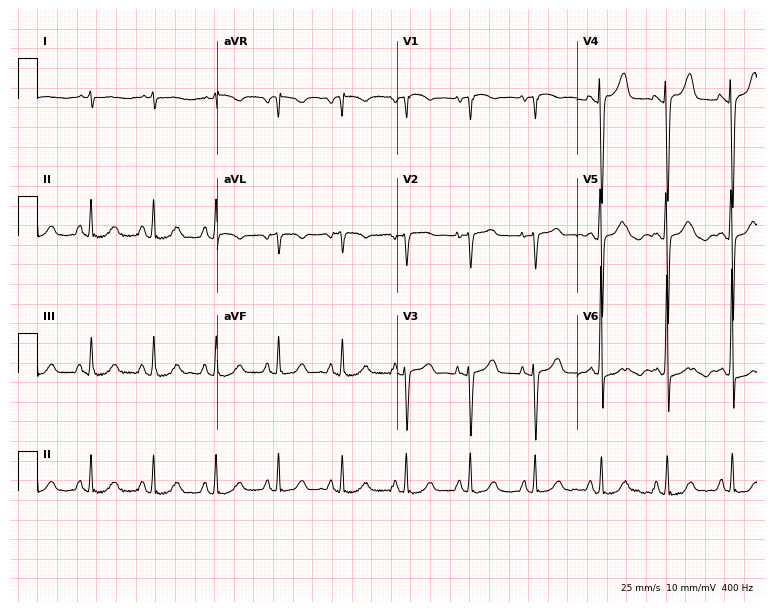
Standard 12-lead ECG recorded from a 64-year-old female patient. Read as a normal ECG.